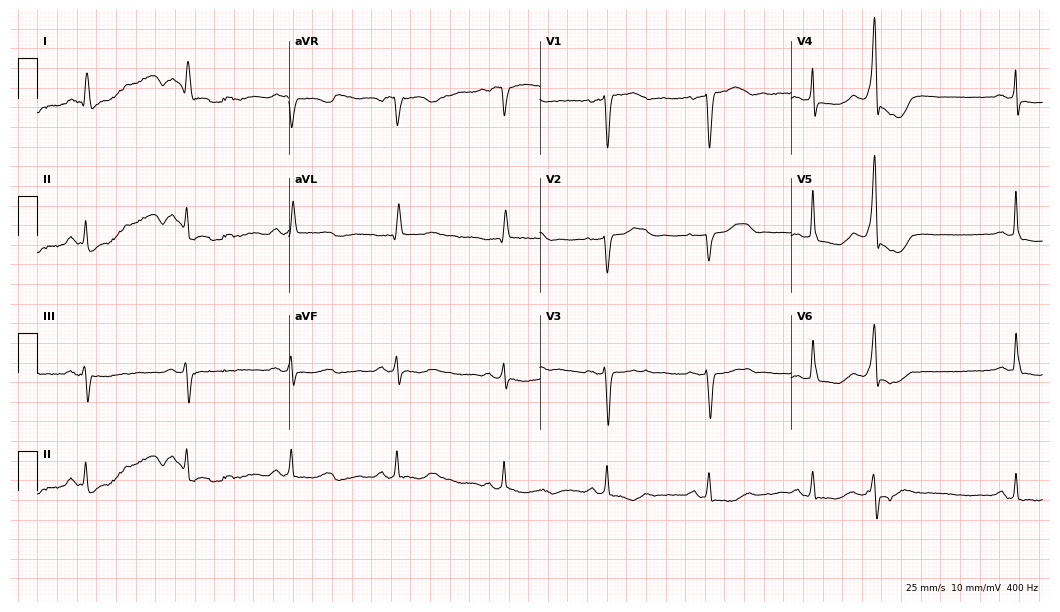
Standard 12-lead ECG recorded from a woman, 78 years old (10.2-second recording at 400 Hz). None of these six findings is recorded: first-degree AV block, right bundle branch block, left bundle branch block, sinus bradycardia, atrial fibrillation, sinus tachycardia.